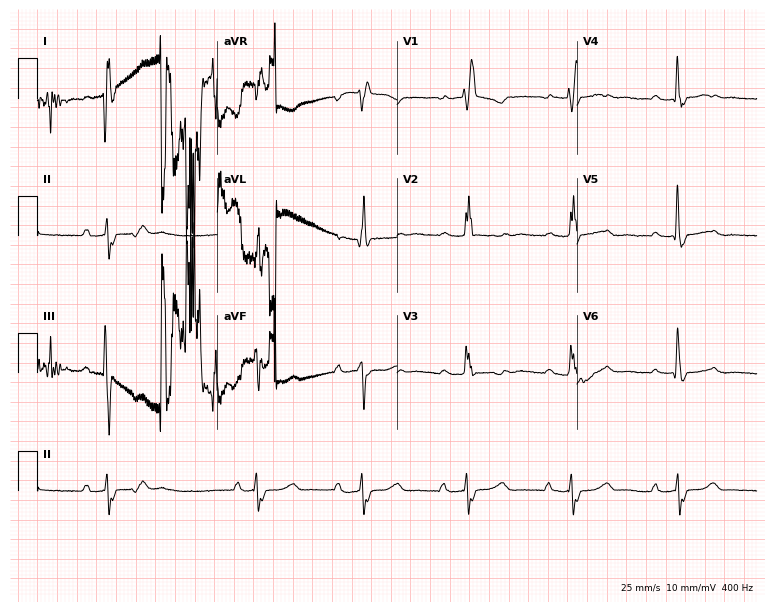
Electrocardiogram (7.3-second recording at 400 Hz), a 74-year-old female patient. Interpretation includes first-degree AV block, right bundle branch block (RBBB).